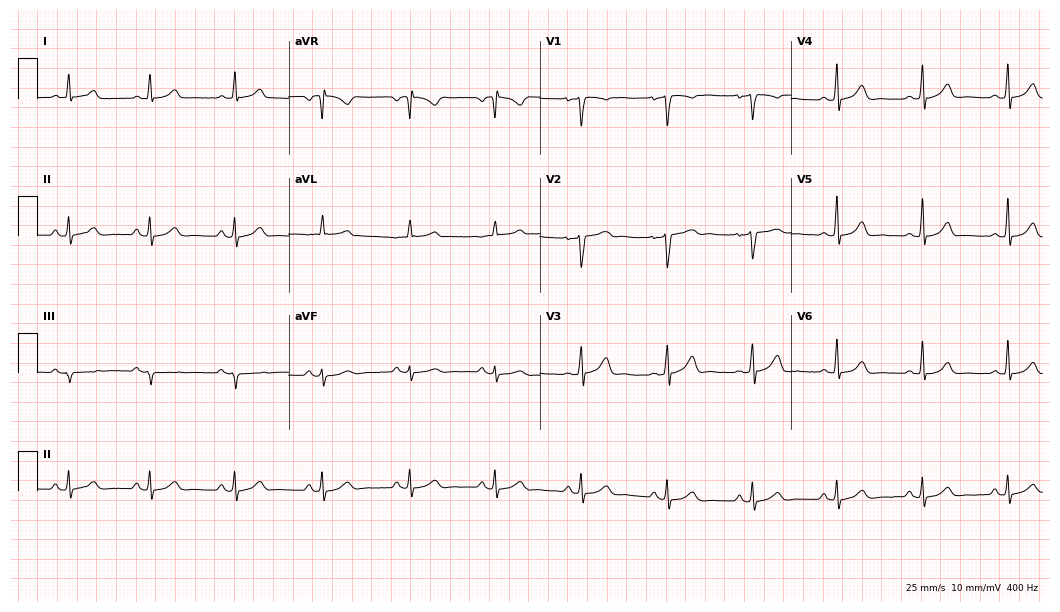
ECG (10.2-second recording at 400 Hz) — a female, 45 years old. Labelled as a normal ECG.